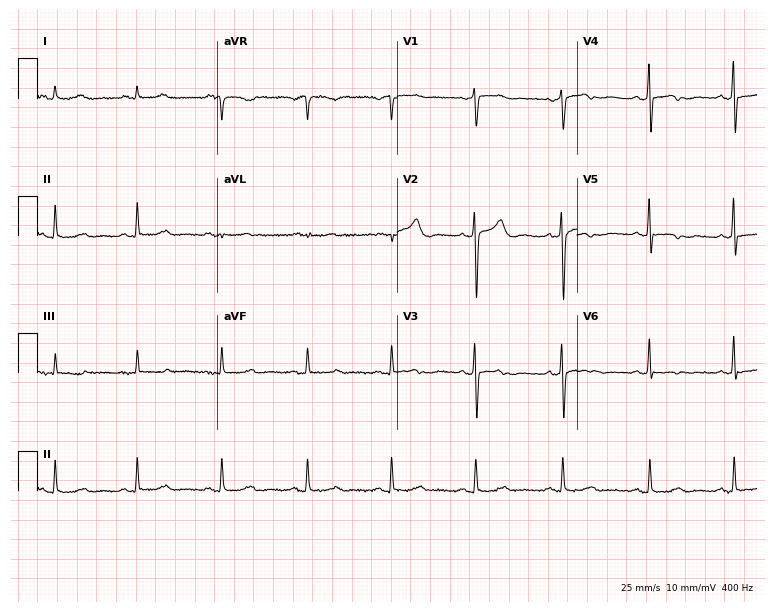
Standard 12-lead ECG recorded from a woman, 66 years old (7.3-second recording at 400 Hz). None of these six findings is recorded: first-degree AV block, right bundle branch block (RBBB), left bundle branch block (LBBB), sinus bradycardia, atrial fibrillation (AF), sinus tachycardia.